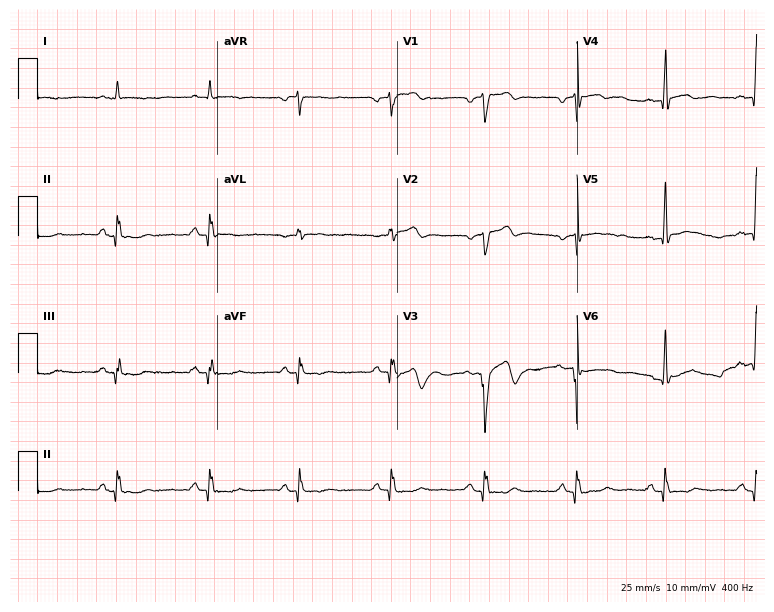
12-lead ECG (7.3-second recording at 400 Hz) from a male, 52 years old. Screened for six findings — first-degree AV block, right bundle branch block, left bundle branch block, sinus bradycardia, atrial fibrillation, sinus tachycardia — none is recorded. Only these six findings were labelled.